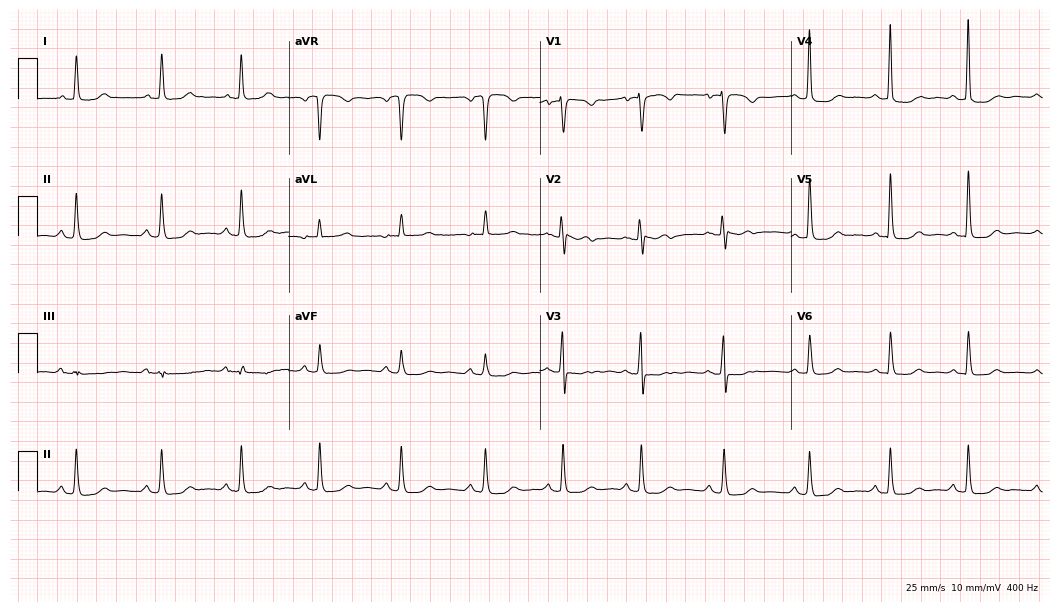
Electrocardiogram, a 66-year-old woman. Of the six screened findings (first-degree AV block, right bundle branch block (RBBB), left bundle branch block (LBBB), sinus bradycardia, atrial fibrillation (AF), sinus tachycardia), none is recorded. Other findings, if any, are not listed.